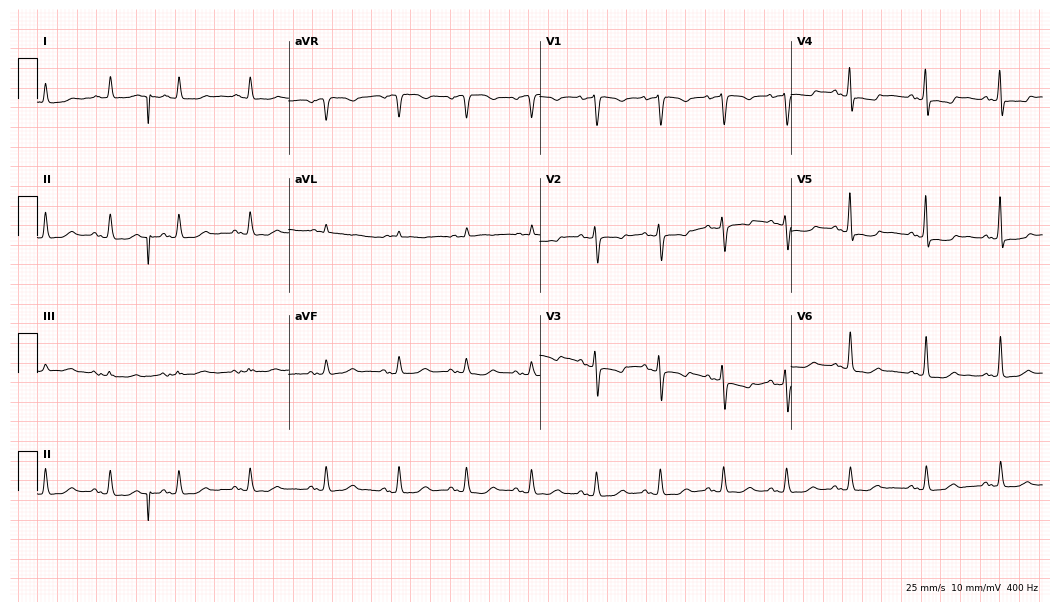
ECG (10.2-second recording at 400 Hz) — an 83-year-old woman. Screened for six findings — first-degree AV block, right bundle branch block (RBBB), left bundle branch block (LBBB), sinus bradycardia, atrial fibrillation (AF), sinus tachycardia — none is recorded.